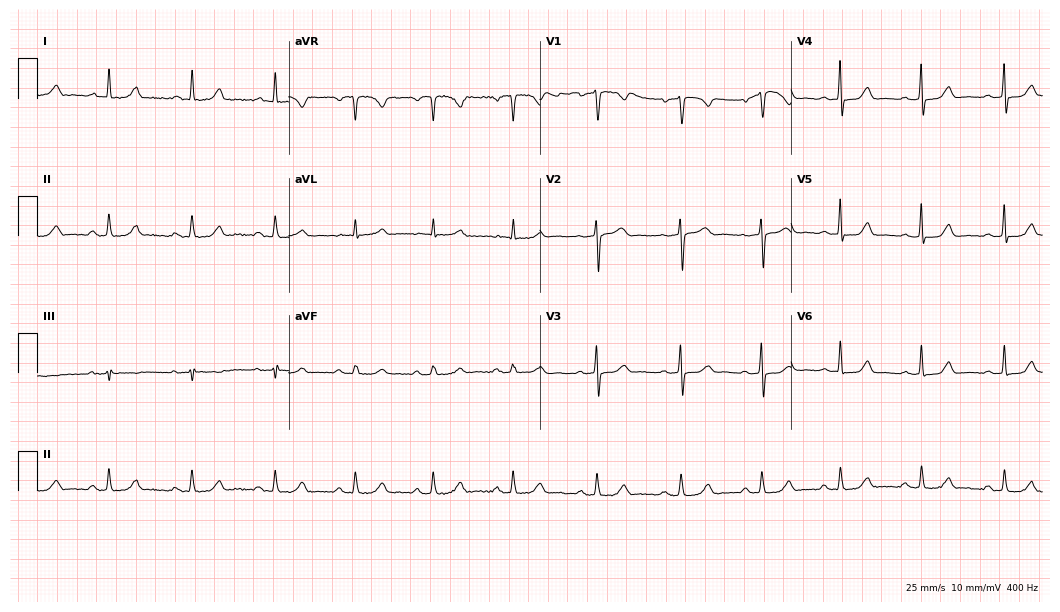
12-lead ECG from a woman, 48 years old. Screened for six findings — first-degree AV block, right bundle branch block, left bundle branch block, sinus bradycardia, atrial fibrillation, sinus tachycardia — none is recorded. Findings outside these six are not listed.